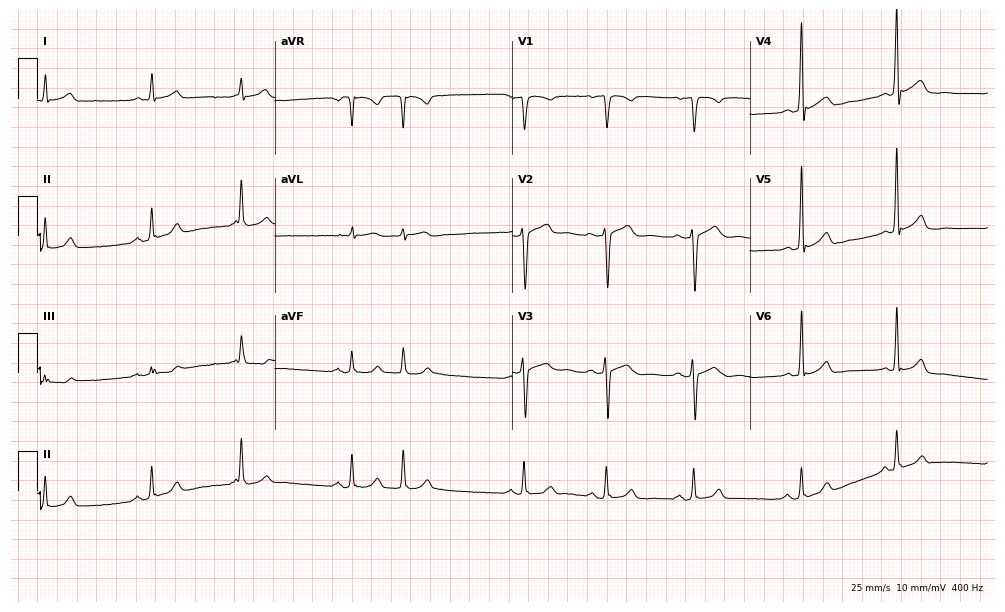
ECG — a 53-year-old male. Screened for six findings — first-degree AV block, right bundle branch block (RBBB), left bundle branch block (LBBB), sinus bradycardia, atrial fibrillation (AF), sinus tachycardia — none is recorded.